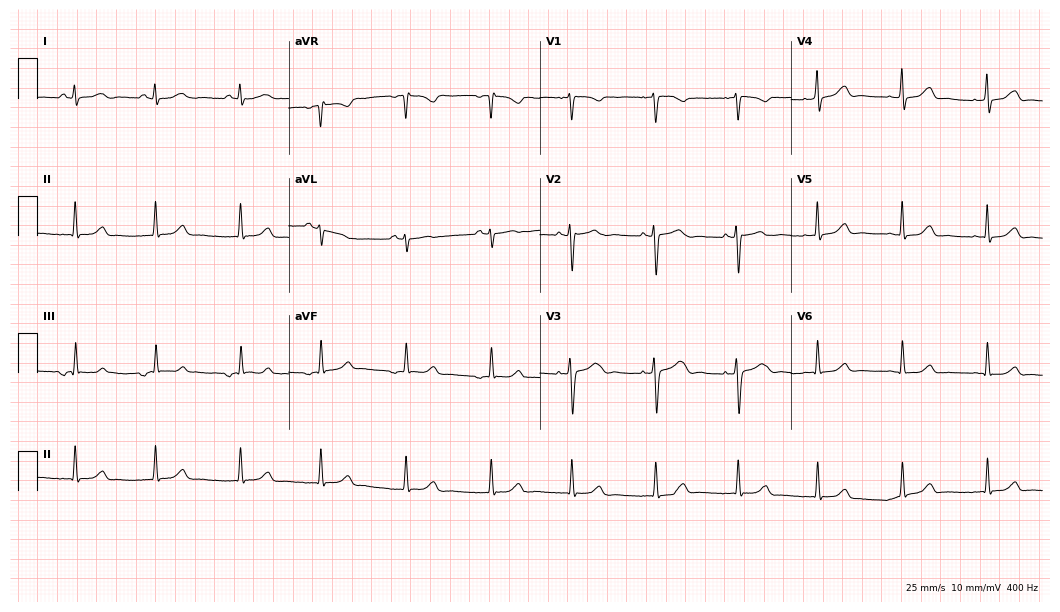
12-lead ECG (10.2-second recording at 400 Hz) from a 24-year-old female patient. Screened for six findings — first-degree AV block, right bundle branch block, left bundle branch block, sinus bradycardia, atrial fibrillation, sinus tachycardia — none is recorded.